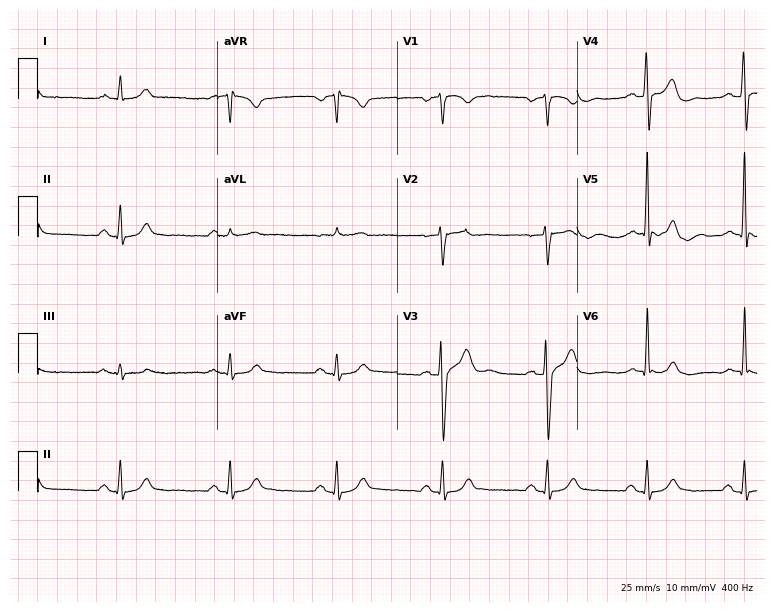
ECG (7.3-second recording at 400 Hz) — a 52-year-old male. Labelled as a normal ECG.